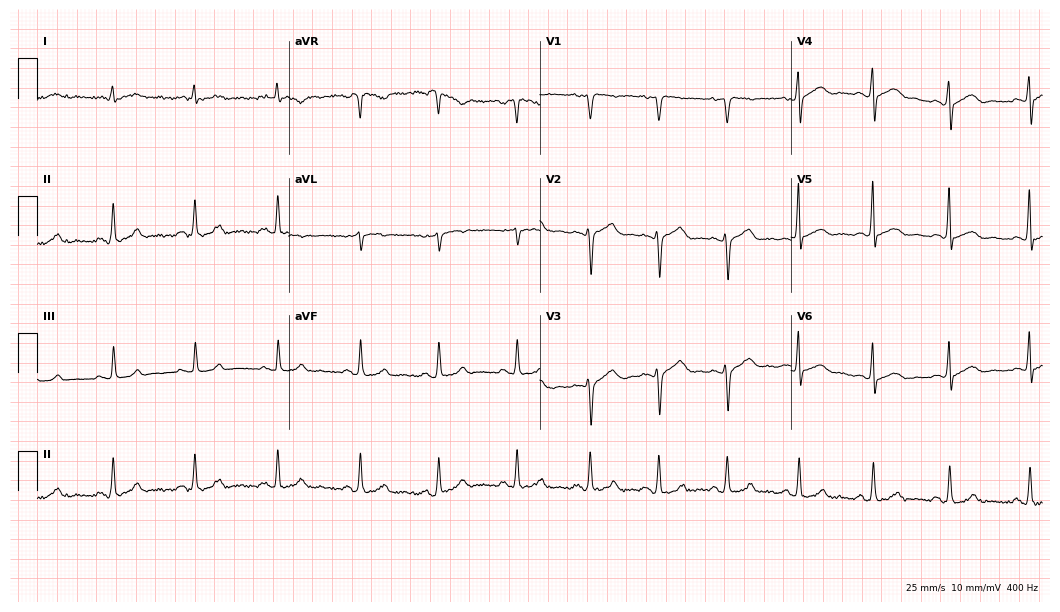
12-lead ECG from a 44-year-old man. Screened for six findings — first-degree AV block, right bundle branch block, left bundle branch block, sinus bradycardia, atrial fibrillation, sinus tachycardia — none is recorded. Only these six findings were labelled.